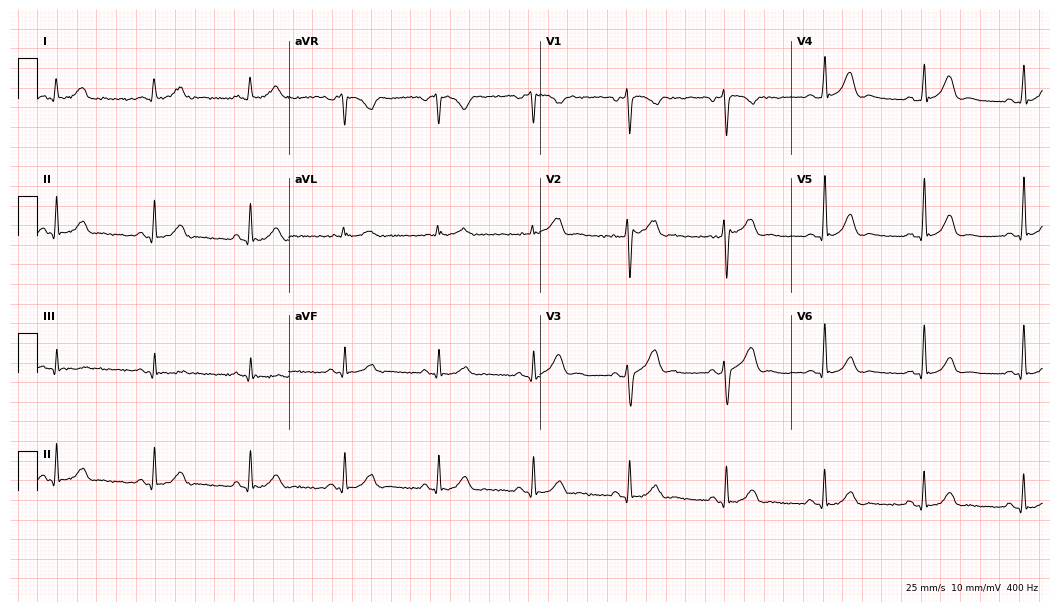
12-lead ECG from a female, 50 years old. Recorded interpretation: within normal limits.